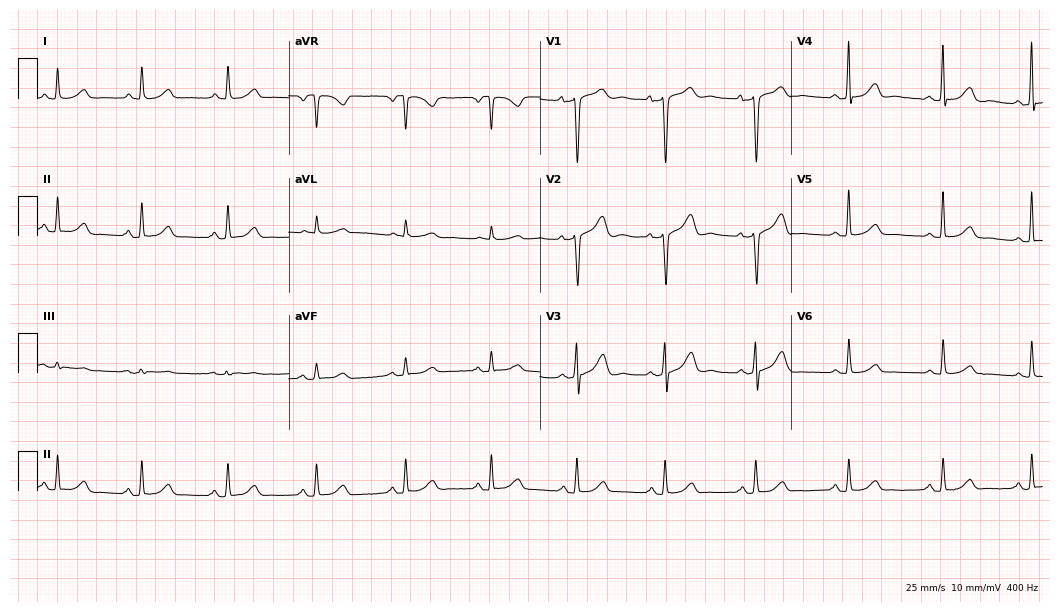
12-lead ECG (10.2-second recording at 400 Hz) from a woman, 57 years old. Labelled as a normal ECG.